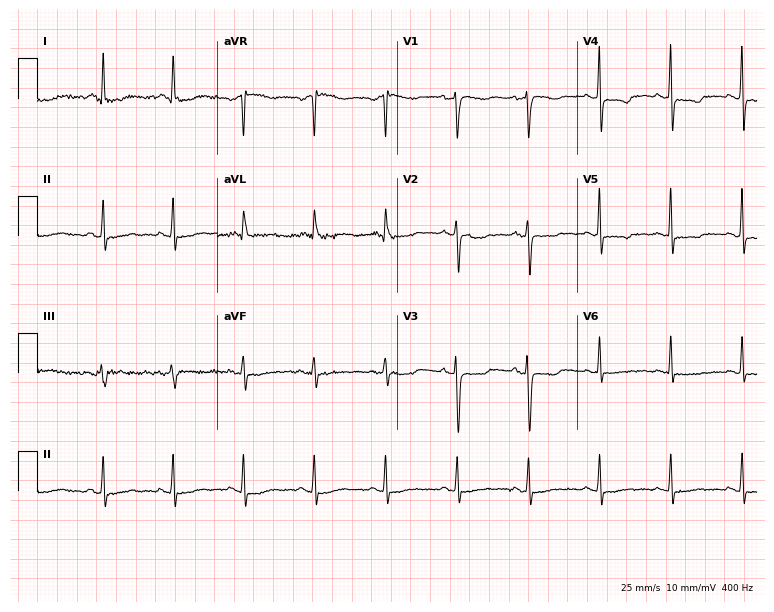
12-lead ECG (7.3-second recording at 400 Hz) from a 52-year-old woman. Screened for six findings — first-degree AV block, right bundle branch block, left bundle branch block, sinus bradycardia, atrial fibrillation, sinus tachycardia — none is recorded.